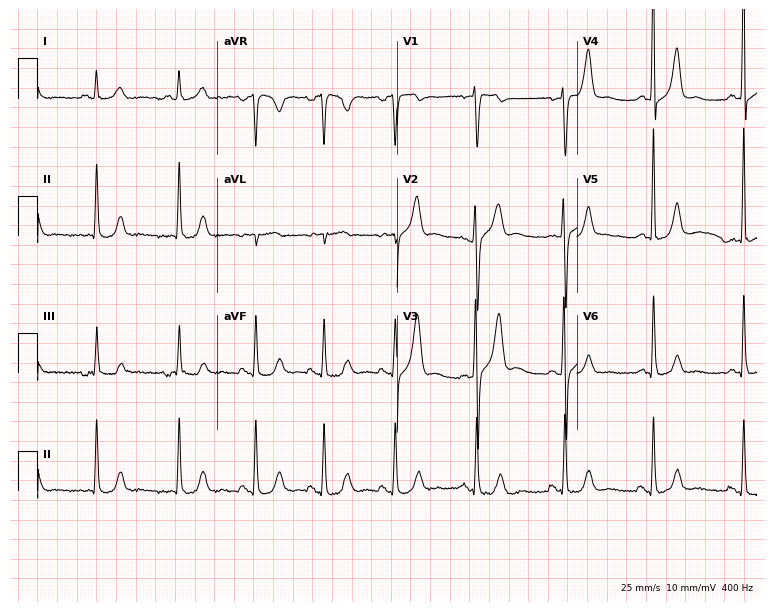
Resting 12-lead electrocardiogram (7.3-second recording at 400 Hz). Patient: a male, 60 years old. None of these six findings is recorded: first-degree AV block, right bundle branch block, left bundle branch block, sinus bradycardia, atrial fibrillation, sinus tachycardia.